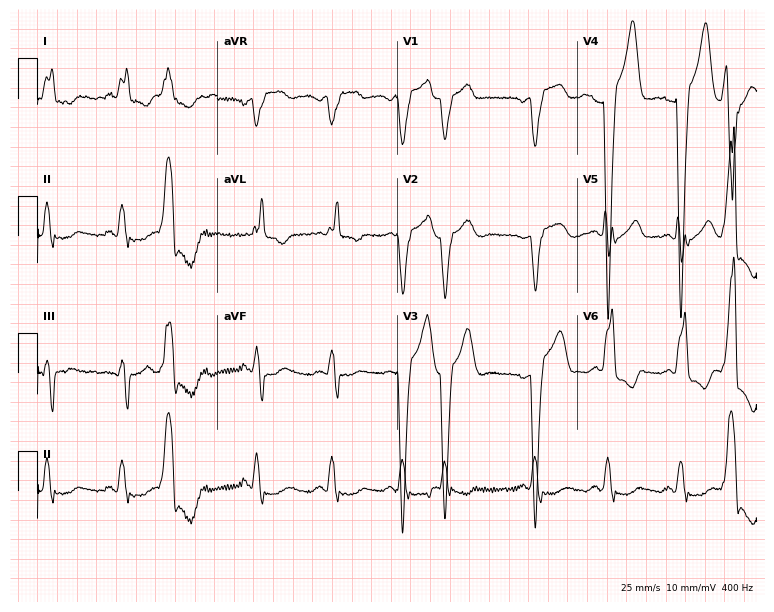
ECG (7.3-second recording at 400 Hz) — a woman, 80 years old. Findings include left bundle branch block (LBBB).